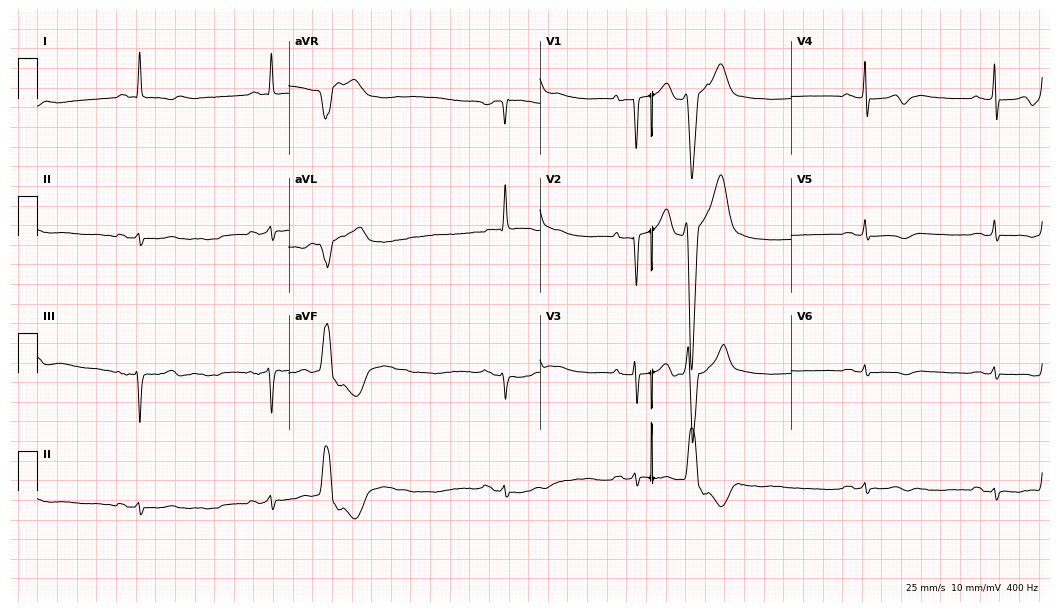
12-lead ECG from a 73-year-old male patient. Shows sinus bradycardia (a sinus rate of 50 beats per minute or less).